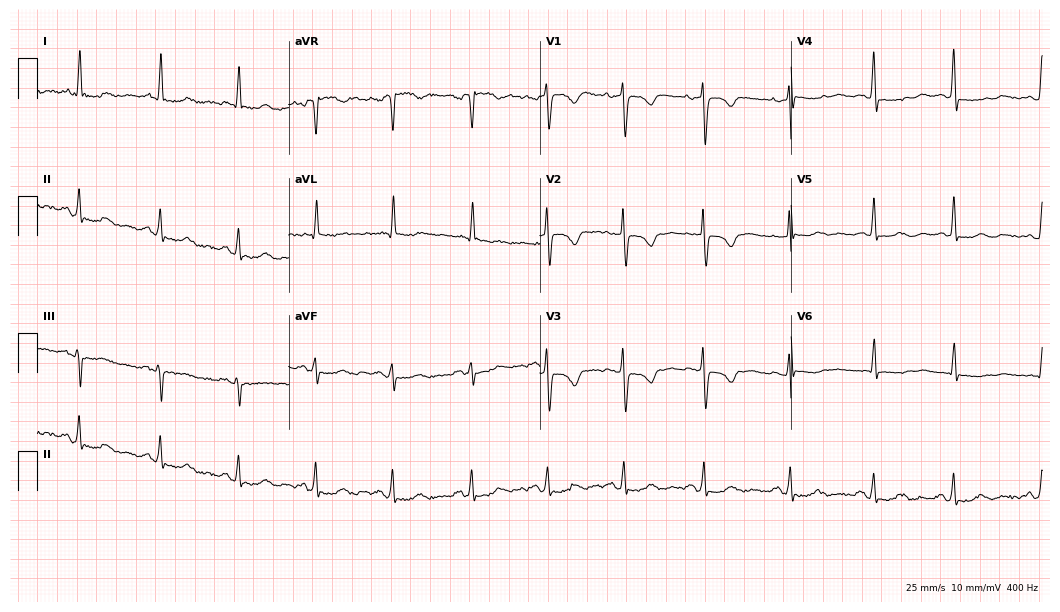
12-lead ECG from a female patient, 55 years old. No first-degree AV block, right bundle branch block (RBBB), left bundle branch block (LBBB), sinus bradycardia, atrial fibrillation (AF) or sinus tachycardia recorded for this tracing.